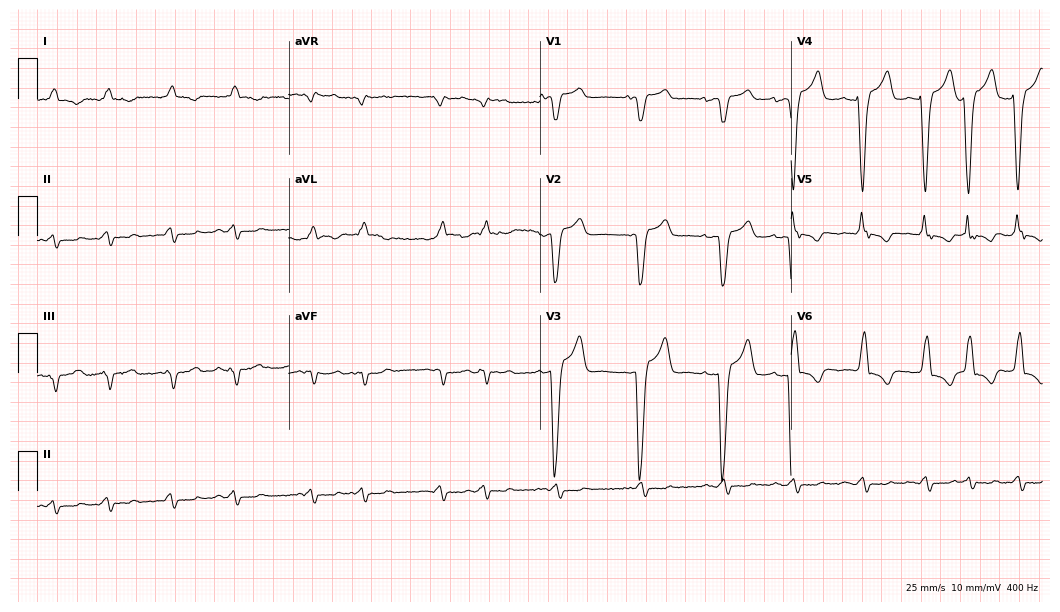
12-lead ECG from a man, 70 years old (10.2-second recording at 400 Hz). Shows left bundle branch block, sinus tachycardia (a sinus rate of 100 beats per minute or more).